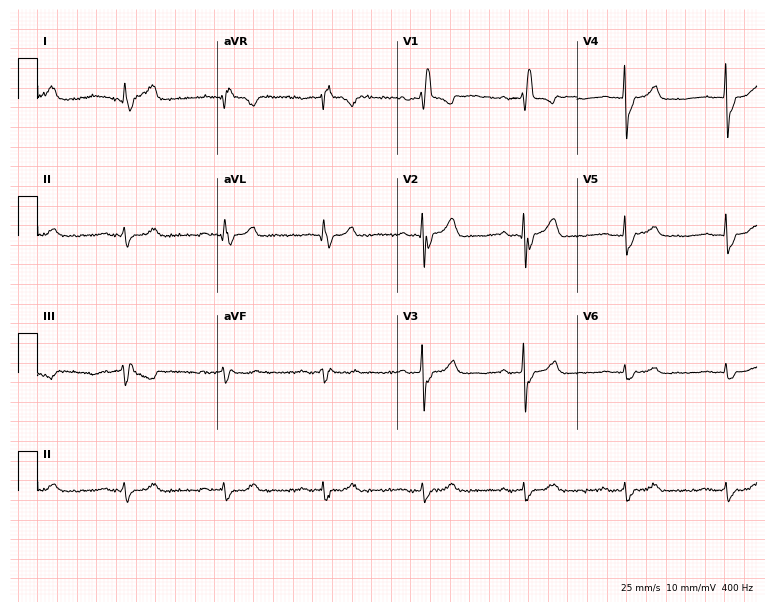
12-lead ECG from an 84-year-old male patient (7.3-second recording at 400 Hz). Shows right bundle branch block.